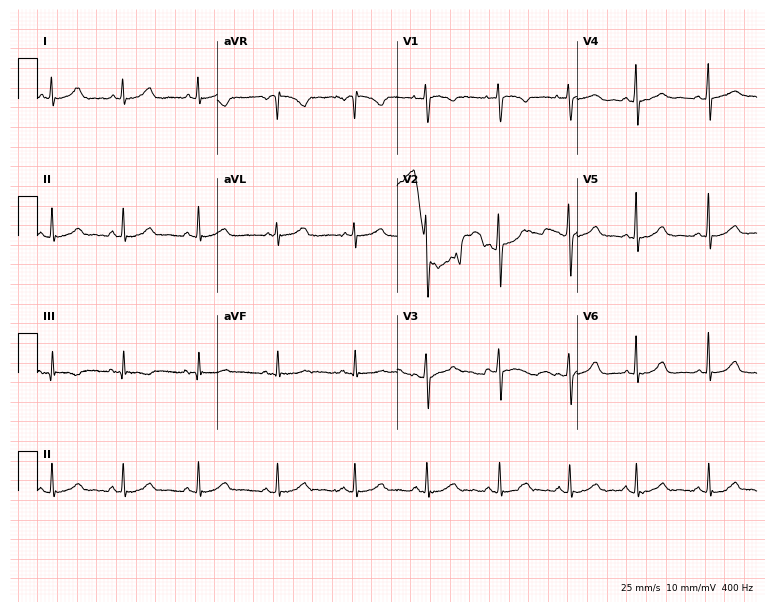
Electrocardiogram (7.3-second recording at 400 Hz), a 28-year-old woman. Of the six screened findings (first-degree AV block, right bundle branch block, left bundle branch block, sinus bradycardia, atrial fibrillation, sinus tachycardia), none is recorded. Findings outside these six are not listed.